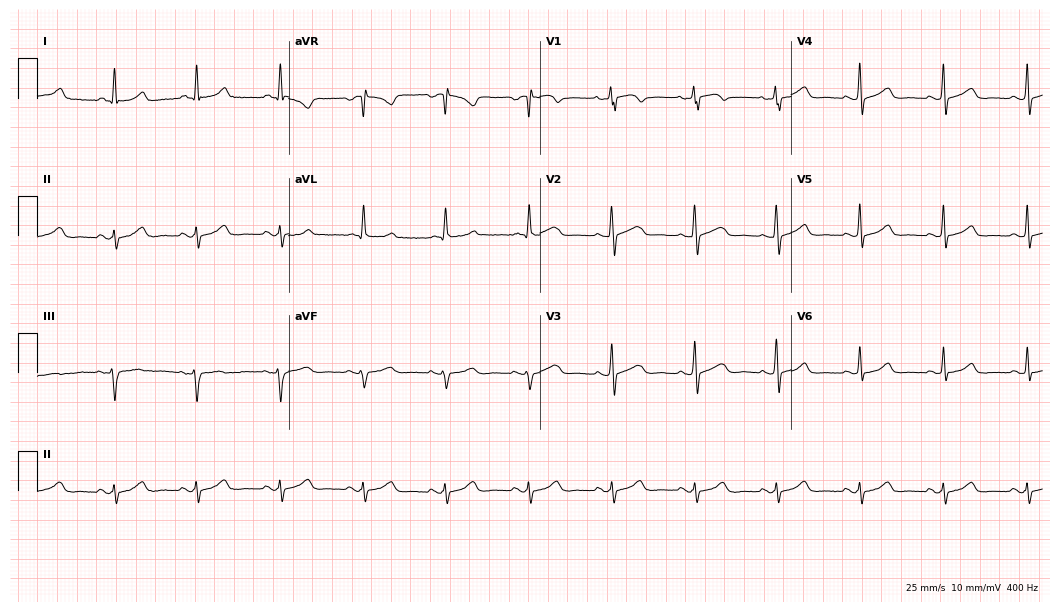
Electrocardiogram, a 61-year-old female. Overall reading on record: normal ECG.